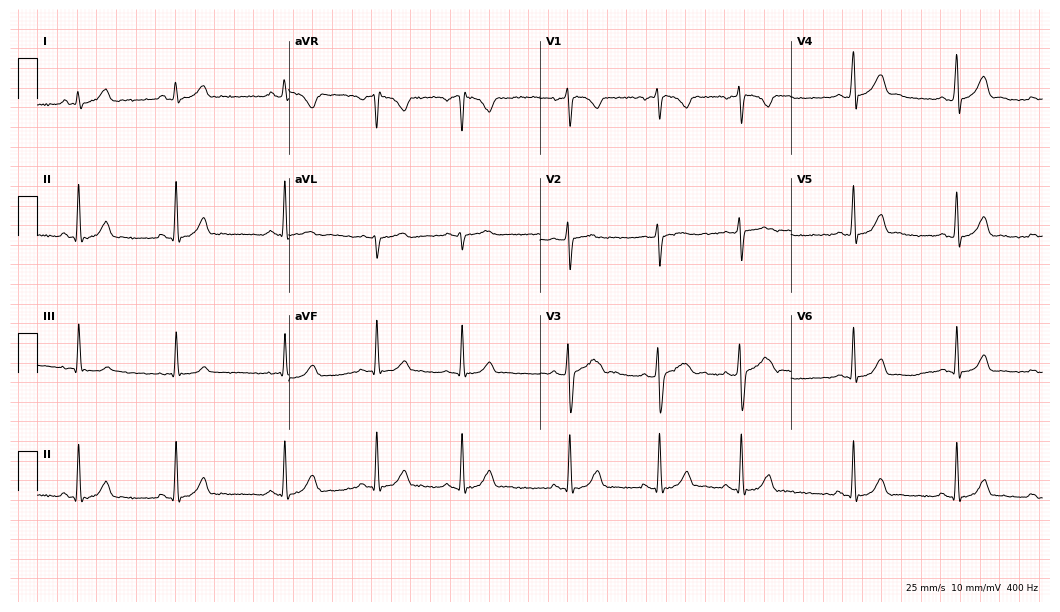
12-lead ECG from a female, 19 years old. Labelled as a normal ECG.